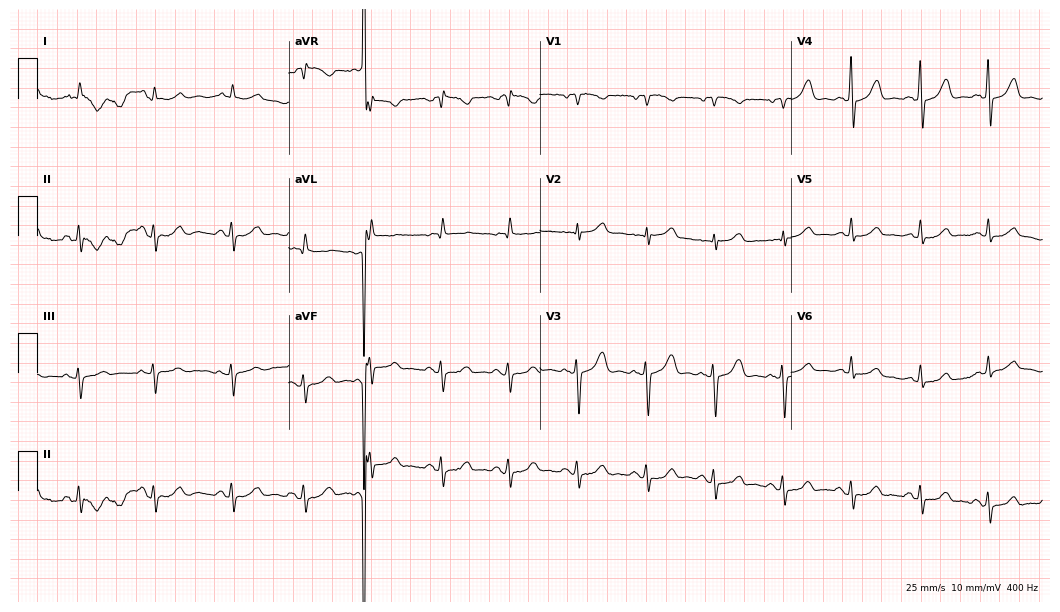
ECG (10.2-second recording at 400 Hz) — a 79-year-old male. Labelled as a normal ECG.